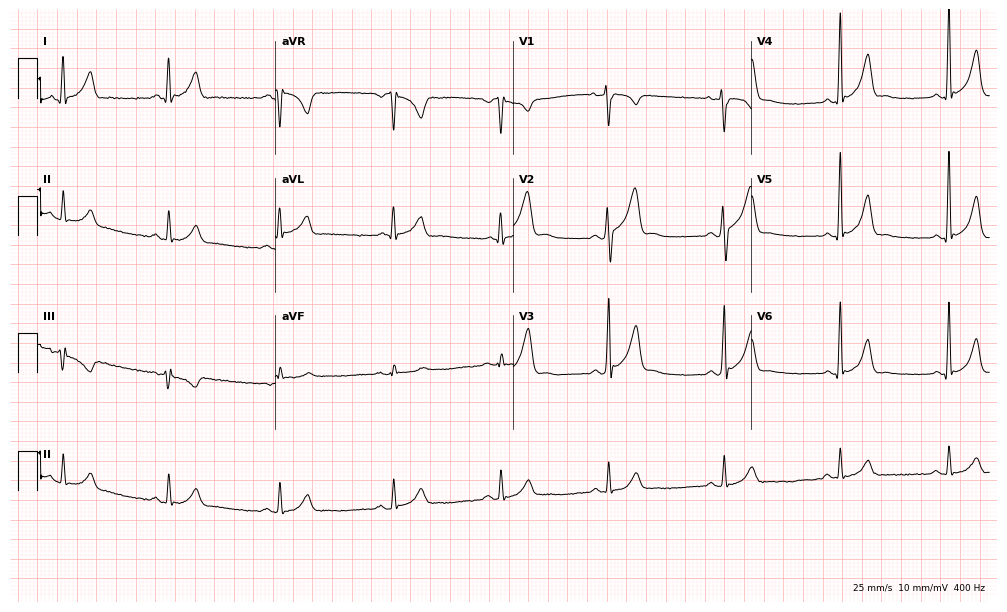
Electrocardiogram (9.7-second recording at 400 Hz), a 33-year-old male patient. Overall reading on record: normal ECG.